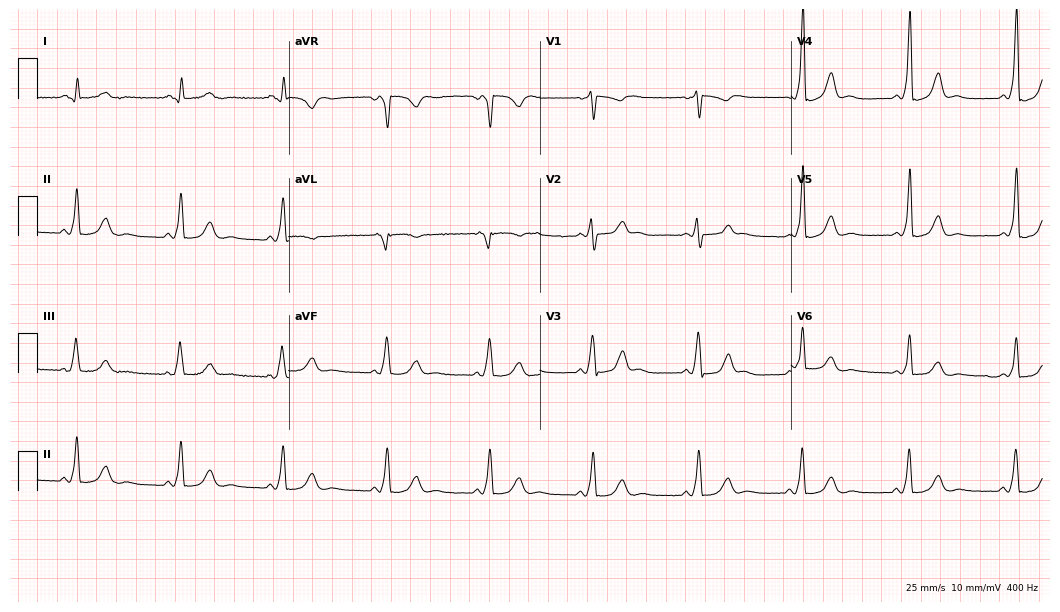
Electrocardiogram, a female patient, 47 years old. Of the six screened findings (first-degree AV block, right bundle branch block, left bundle branch block, sinus bradycardia, atrial fibrillation, sinus tachycardia), none is recorded.